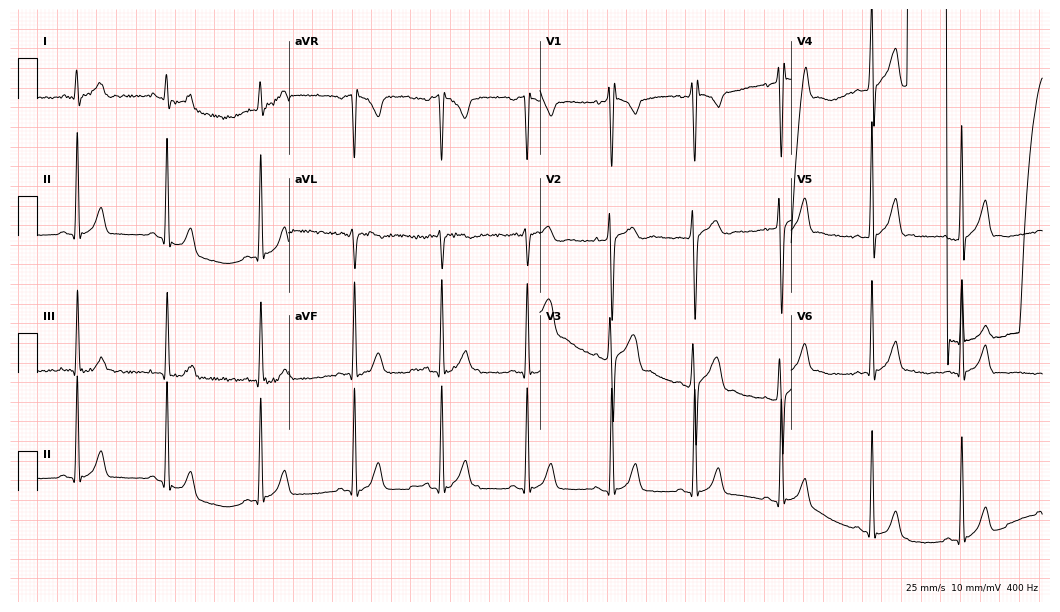
Resting 12-lead electrocardiogram. Patient: a 20-year-old male. Read as a normal ECG.